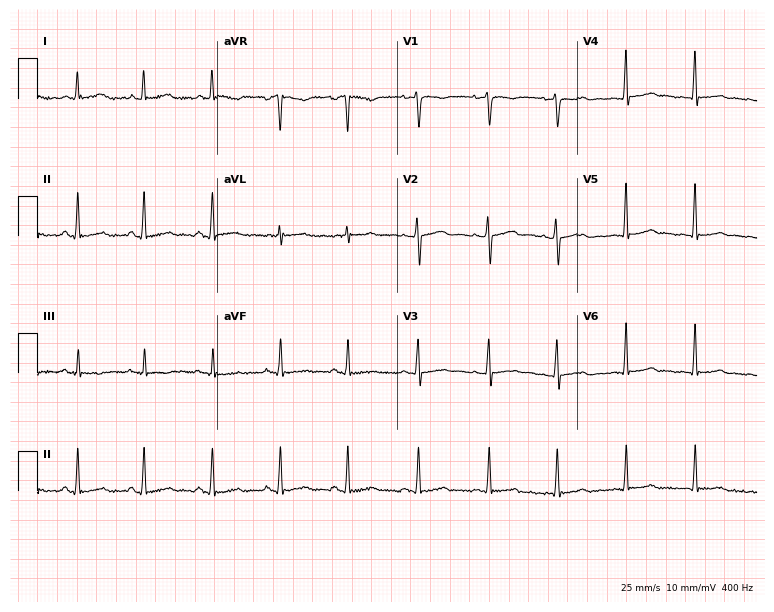
12-lead ECG from a 33-year-old woman. Screened for six findings — first-degree AV block, right bundle branch block, left bundle branch block, sinus bradycardia, atrial fibrillation, sinus tachycardia — none is recorded.